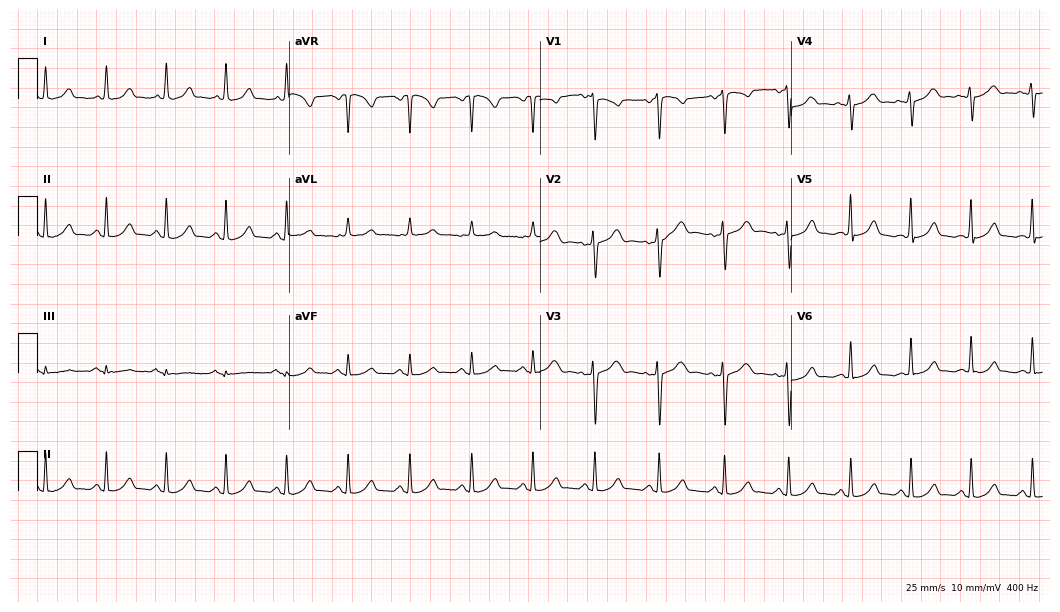
12-lead ECG from a woman, 29 years old (10.2-second recording at 400 Hz). Recorded interpretation: within normal limits.